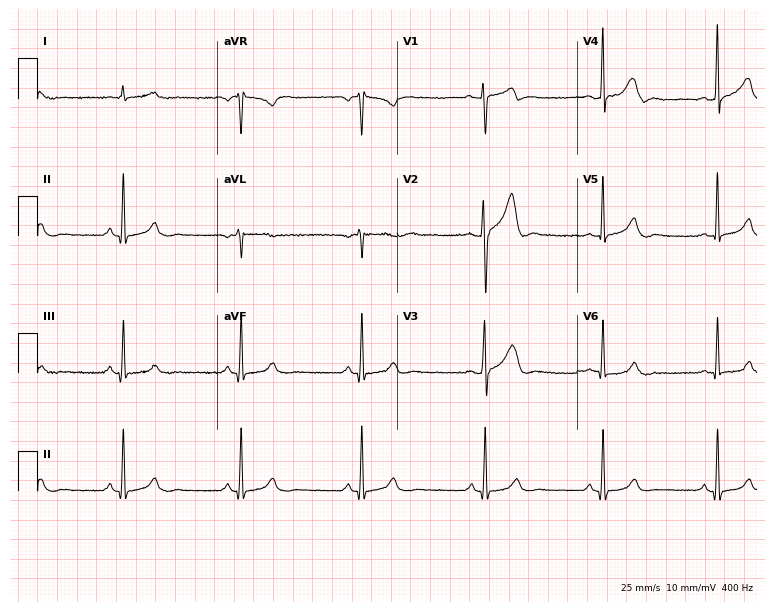
Electrocardiogram, a male, 48 years old. Of the six screened findings (first-degree AV block, right bundle branch block, left bundle branch block, sinus bradycardia, atrial fibrillation, sinus tachycardia), none is recorded. Other findings, if any, are not listed.